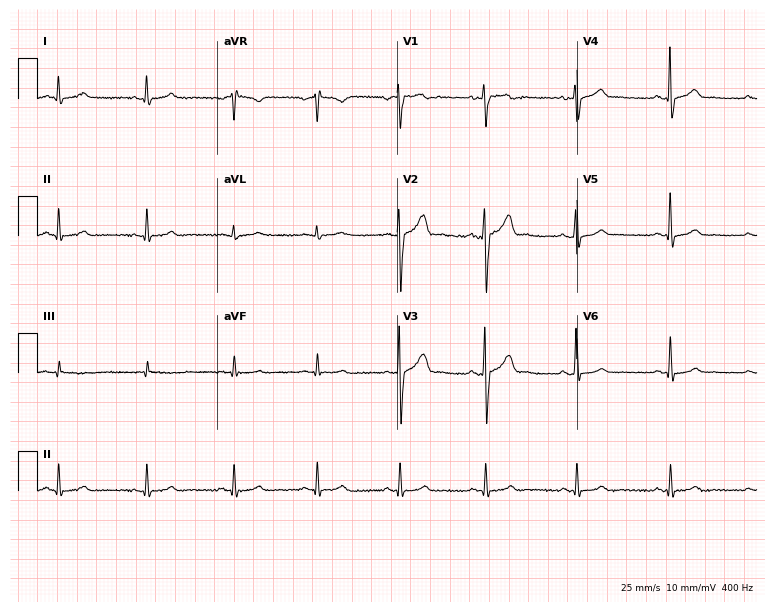
12-lead ECG from a male patient, 34 years old (7.3-second recording at 400 Hz). No first-degree AV block, right bundle branch block, left bundle branch block, sinus bradycardia, atrial fibrillation or sinus tachycardia recorded for this tracing. Findings outside these six are not listed.